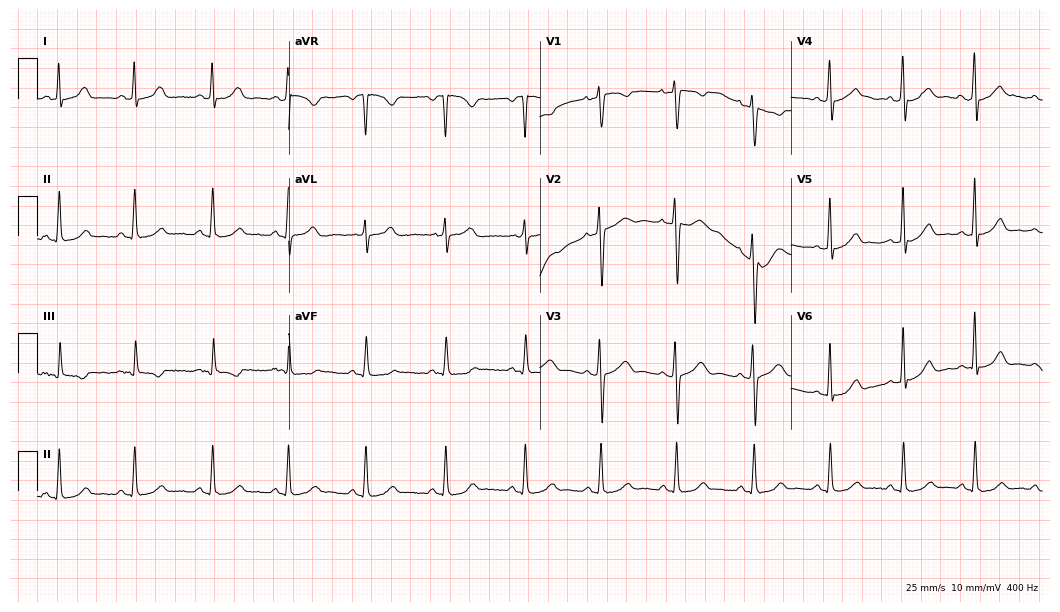
12-lead ECG from a woman, 25 years old (10.2-second recording at 400 Hz). No first-degree AV block, right bundle branch block, left bundle branch block, sinus bradycardia, atrial fibrillation or sinus tachycardia recorded for this tracing. Other findings, if any, are not listed.